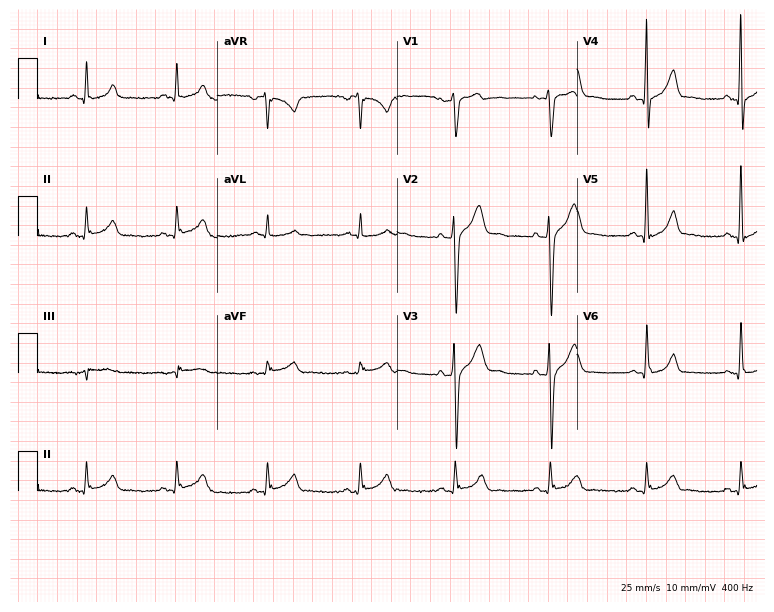
ECG — a male patient, 43 years old. Screened for six findings — first-degree AV block, right bundle branch block (RBBB), left bundle branch block (LBBB), sinus bradycardia, atrial fibrillation (AF), sinus tachycardia — none is recorded. Only these six findings were labelled.